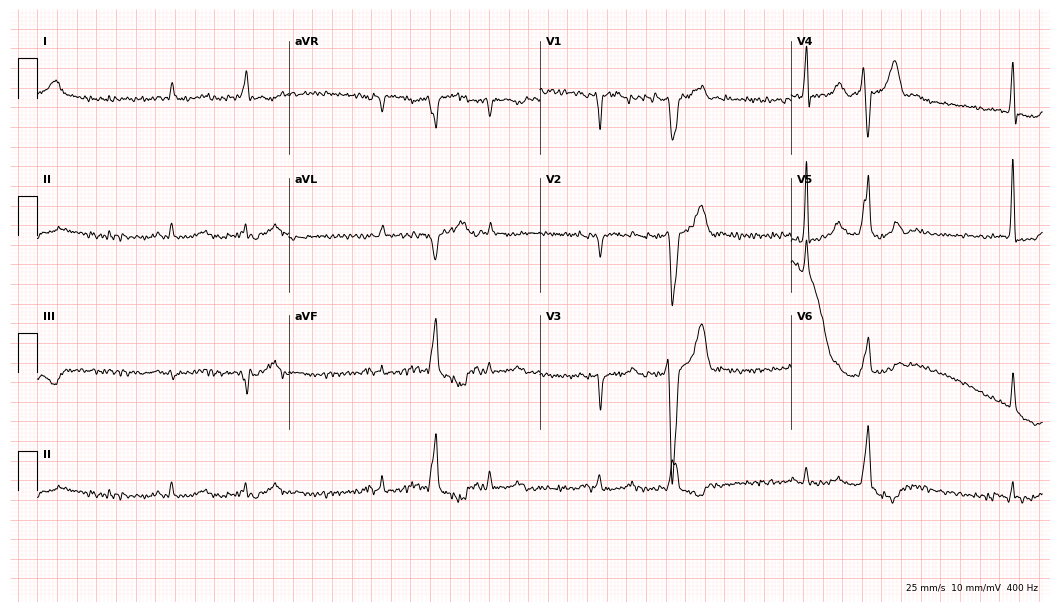
Standard 12-lead ECG recorded from an 82-year-old male (10.2-second recording at 400 Hz). None of these six findings is recorded: first-degree AV block, right bundle branch block, left bundle branch block, sinus bradycardia, atrial fibrillation, sinus tachycardia.